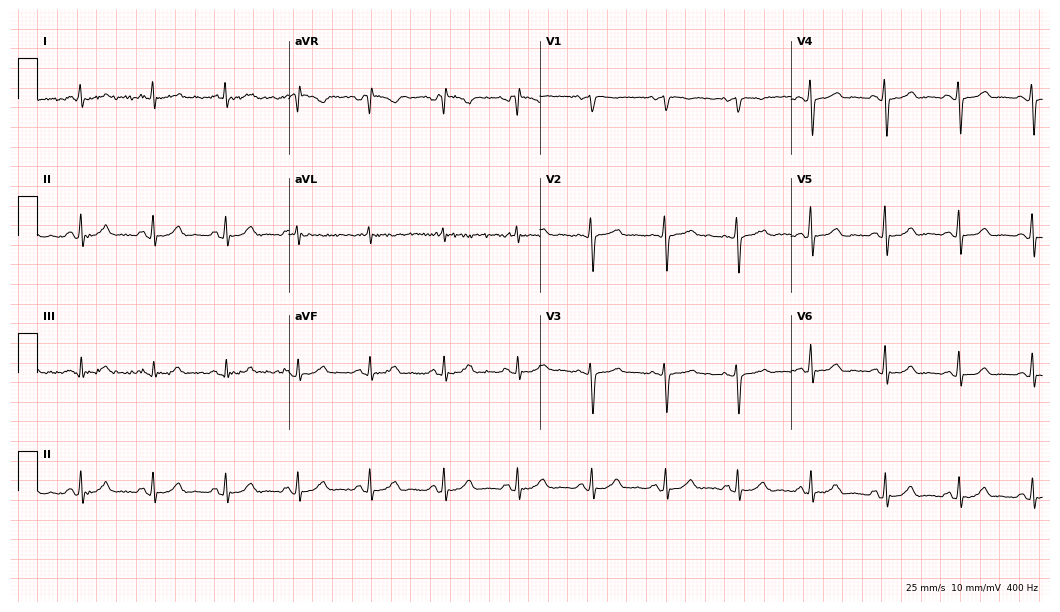
Electrocardiogram (10.2-second recording at 400 Hz), a 63-year-old female patient. Overall reading on record: normal ECG.